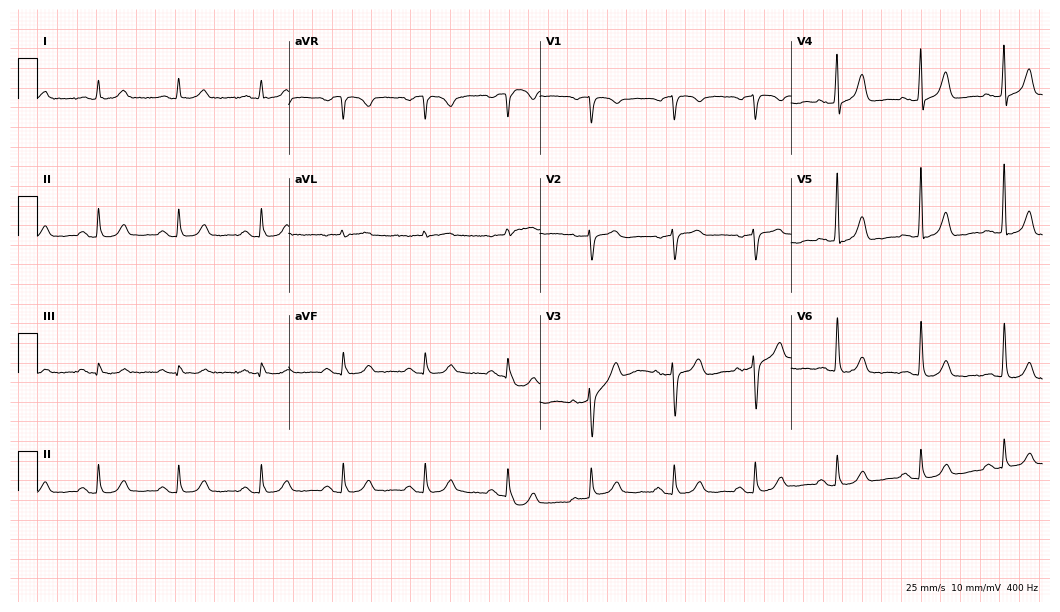
12-lead ECG from a 74-year-old male (10.2-second recording at 400 Hz). Recorded interpretation: within normal limits.